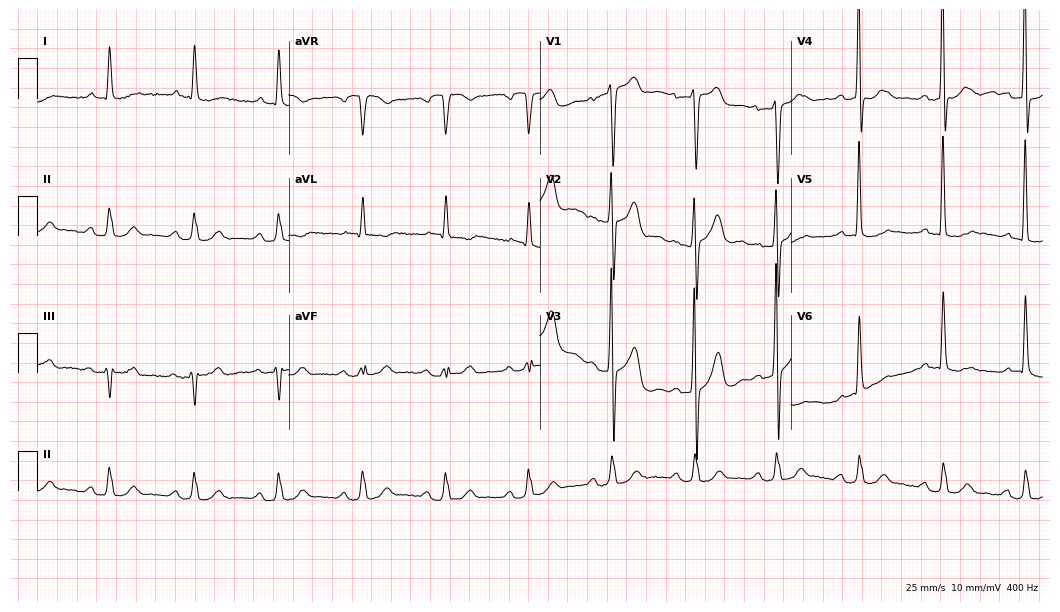
Resting 12-lead electrocardiogram. Patient: an 80-year-old man. None of these six findings is recorded: first-degree AV block, right bundle branch block, left bundle branch block, sinus bradycardia, atrial fibrillation, sinus tachycardia.